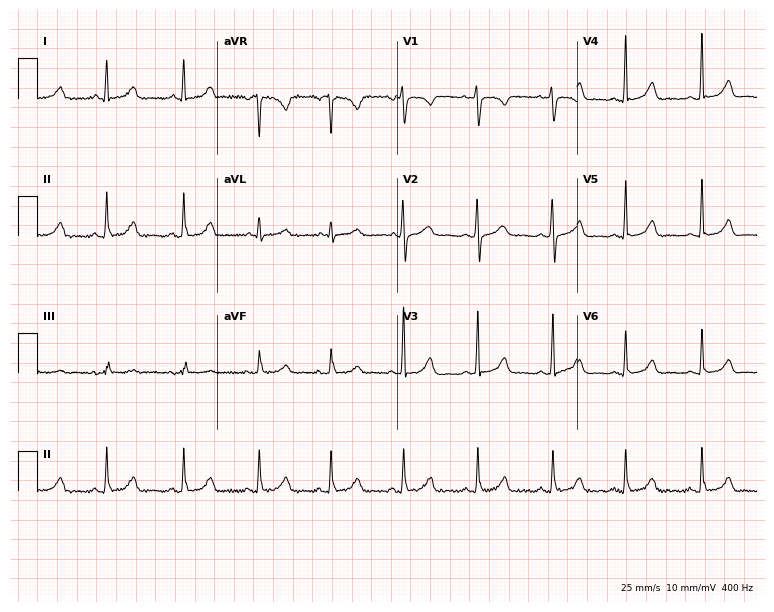
12-lead ECG from a woman, 30 years old. No first-degree AV block, right bundle branch block, left bundle branch block, sinus bradycardia, atrial fibrillation or sinus tachycardia recorded for this tracing.